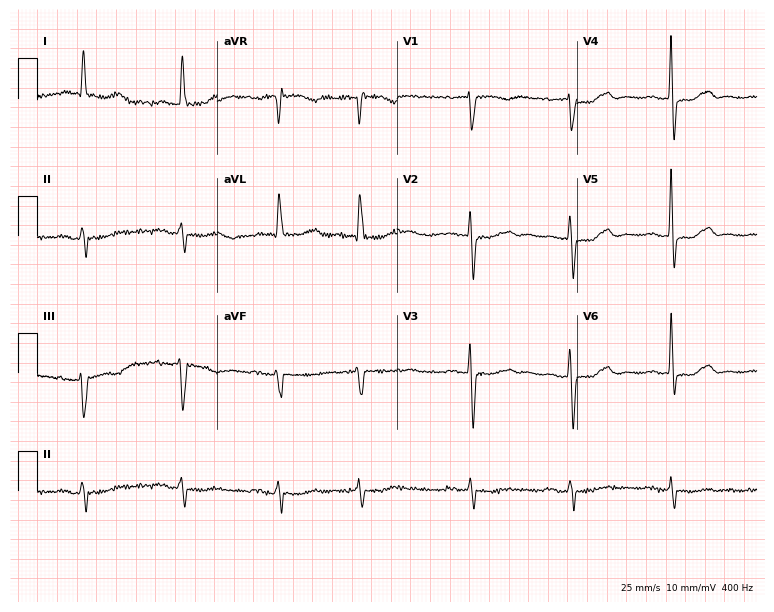
12-lead ECG from a woman, 84 years old (7.3-second recording at 400 Hz). Shows first-degree AV block.